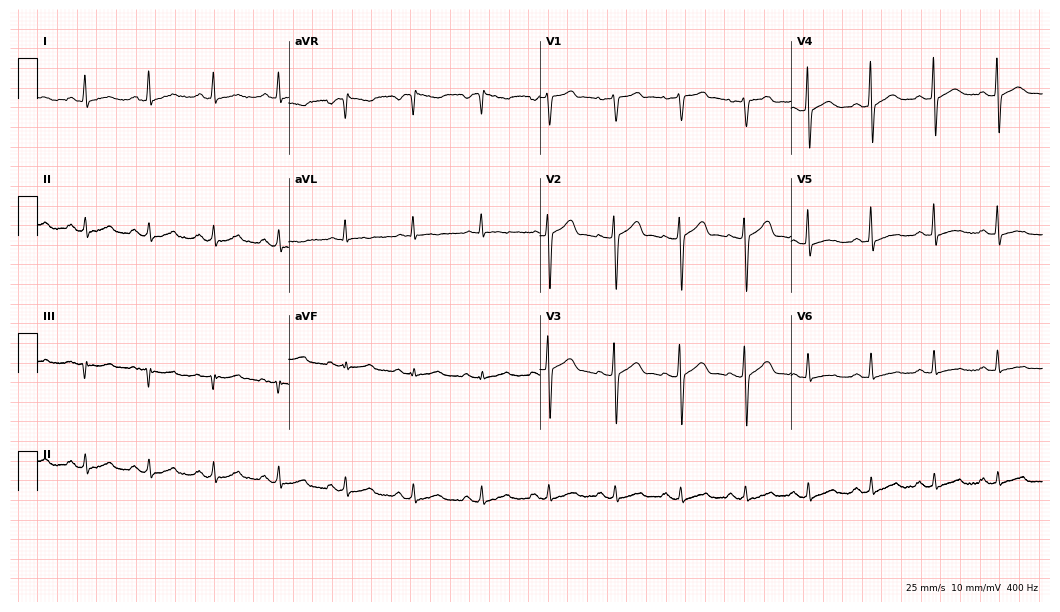
12-lead ECG from a 53-year-old female patient (10.2-second recording at 400 Hz). Recorded interpretation: within normal limits.